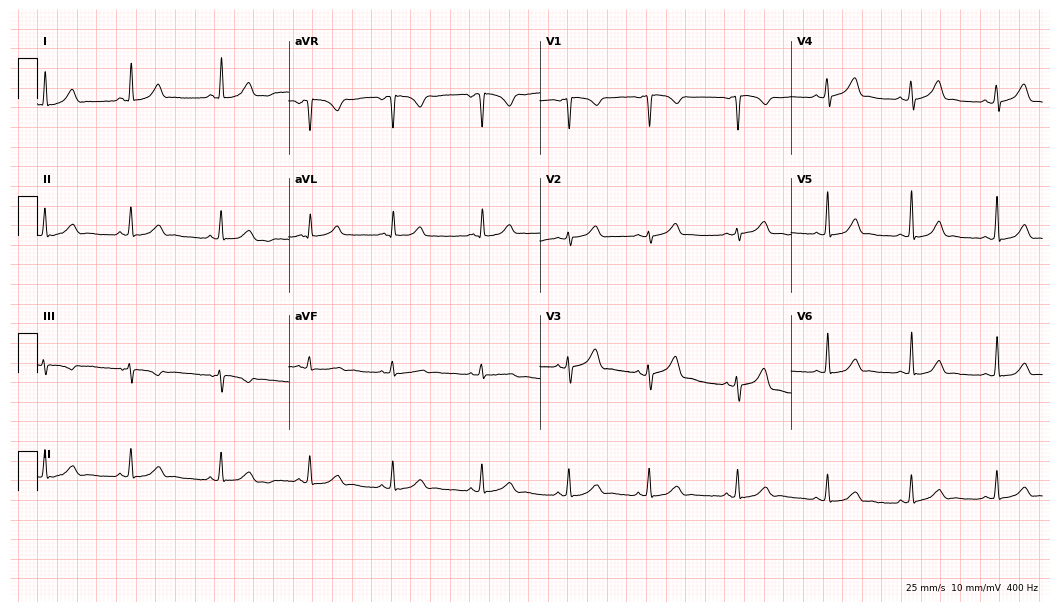
12-lead ECG (10.2-second recording at 400 Hz) from a female, 41 years old. Screened for six findings — first-degree AV block, right bundle branch block, left bundle branch block, sinus bradycardia, atrial fibrillation, sinus tachycardia — none is recorded.